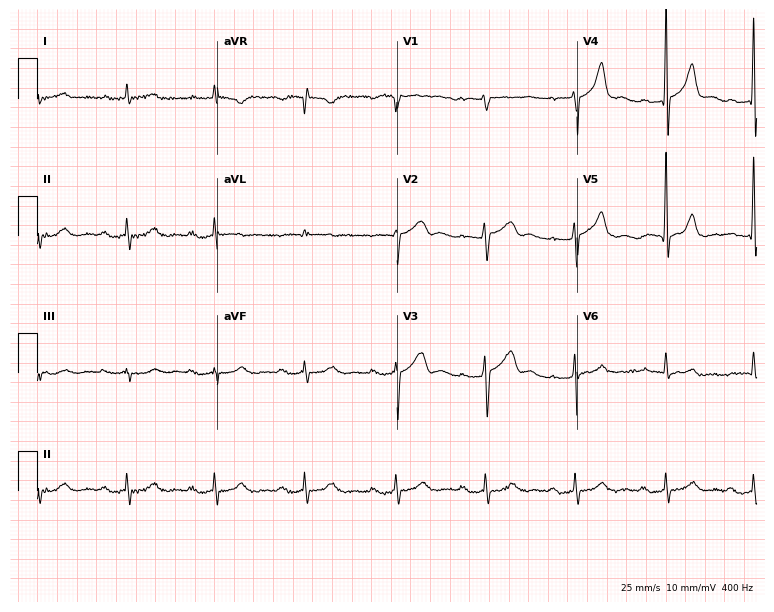
ECG (7.3-second recording at 400 Hz) — a male, 64 years old. Findings include first-degree AV block.